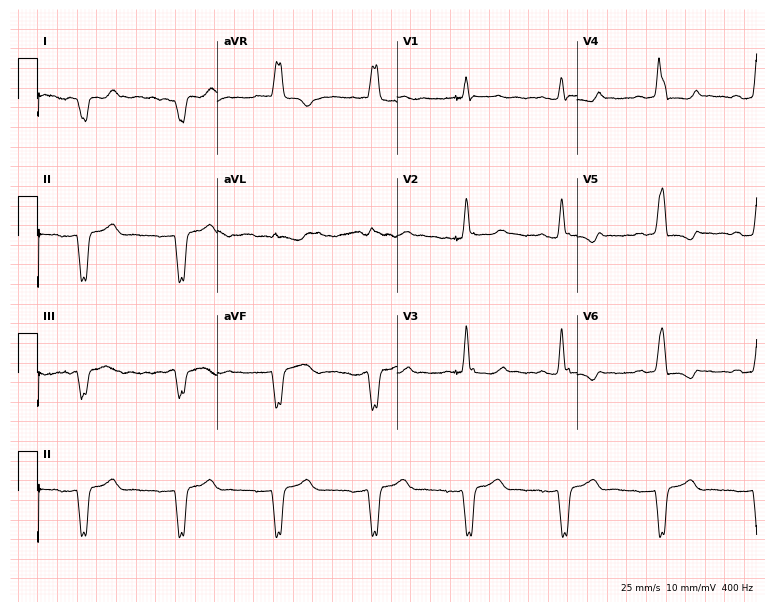
12-lead ECG from a 68-year-old male patient. Findings include first-degree AV block.